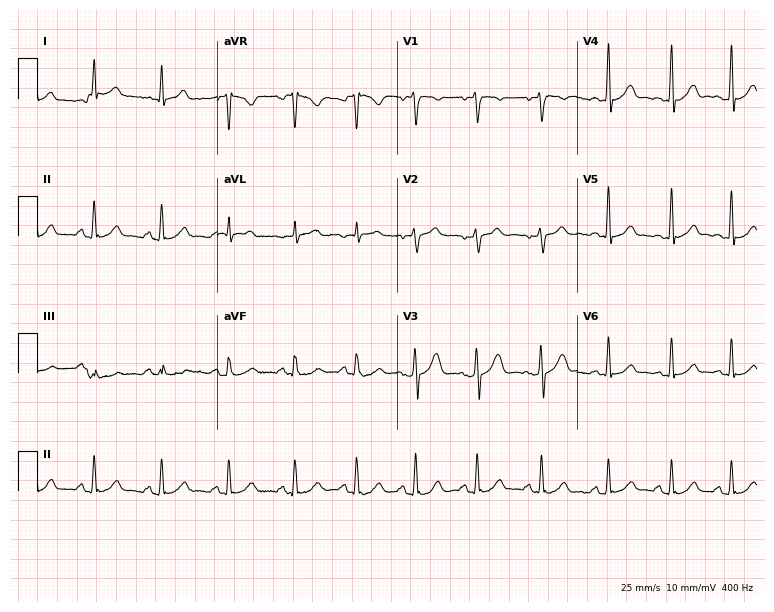
12-lead ECG from a male, 41 years old. Labelled as a normal ECG.